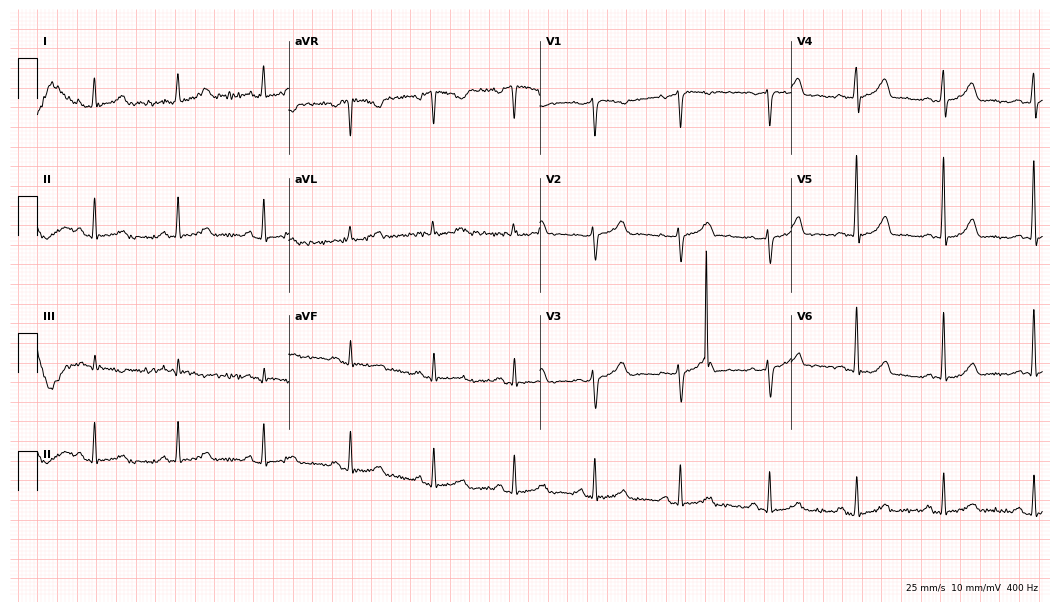
ECG — a 51-year-old female. Screened for six findings — first-degree AV block, right bundle branch block, left bundle branch block, sinus bradycardia, atrial fibrillation, sinus tachycardia — none is recorded. Only these six findings were labelled.